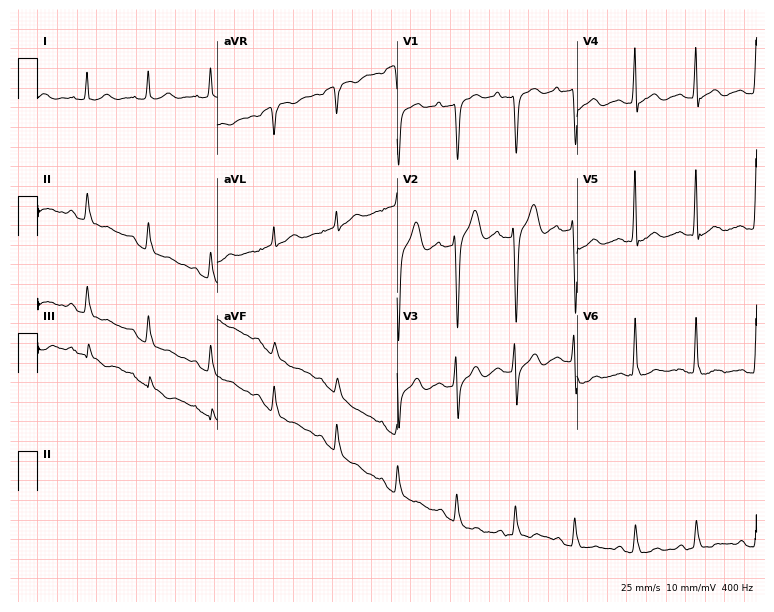
Electrocardiogram, a 70-year-old man. Of the six screened findings (first-degree AV block, right bundle branch block, left bundle branch block, sinus bradycardia, atrial fibrillation, sinus tachycardia), none is recorded.